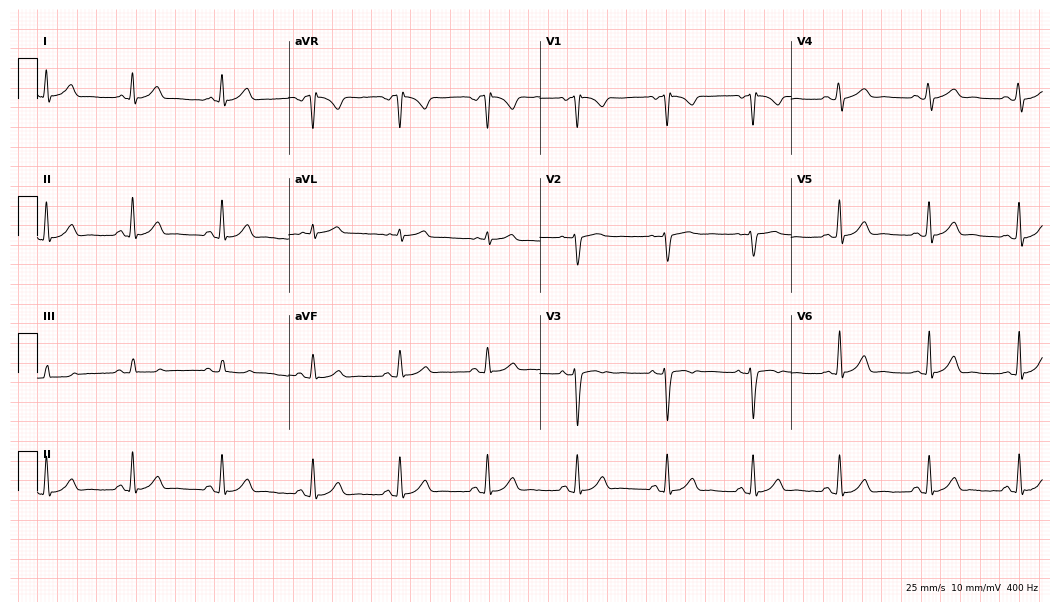
ECG (10.2-second recording at 400 Hz) — a 40-year-old woman. Labelled as a normal ECG.